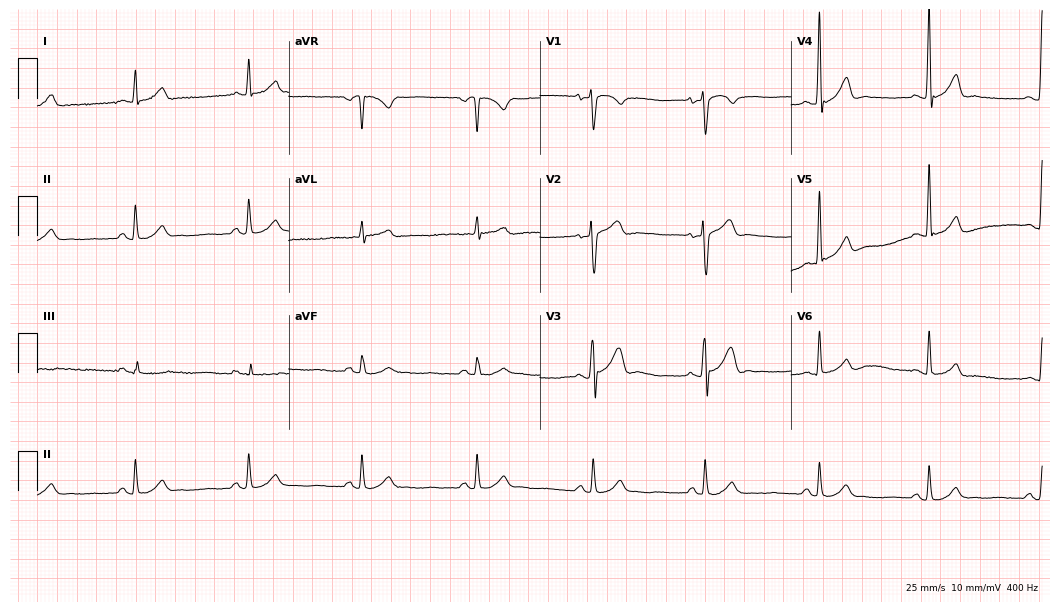
ECG (10.2-second recording at 400 Hz) — a 42-year-old man. Labelled as a normal ECG.